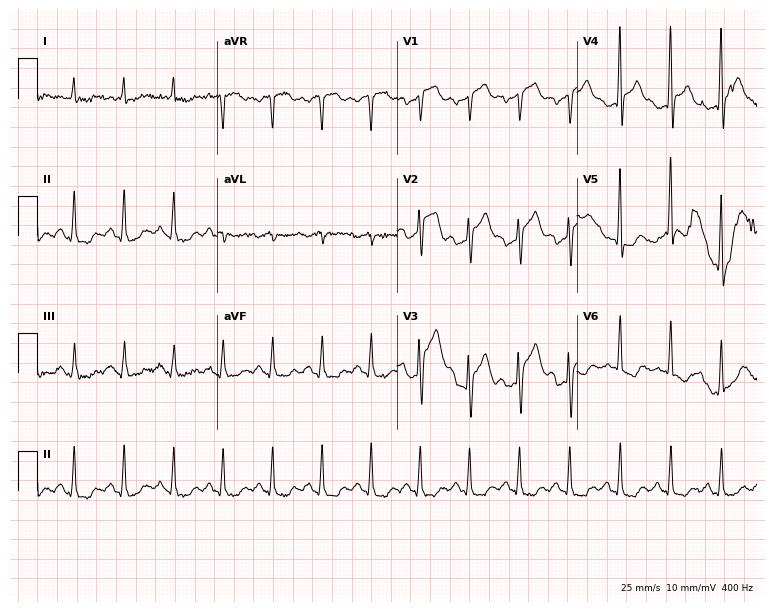
ECG — a man, 60 years old. Findings include sinus tachycardia (a sinus rate of 100 beats per minute or more).